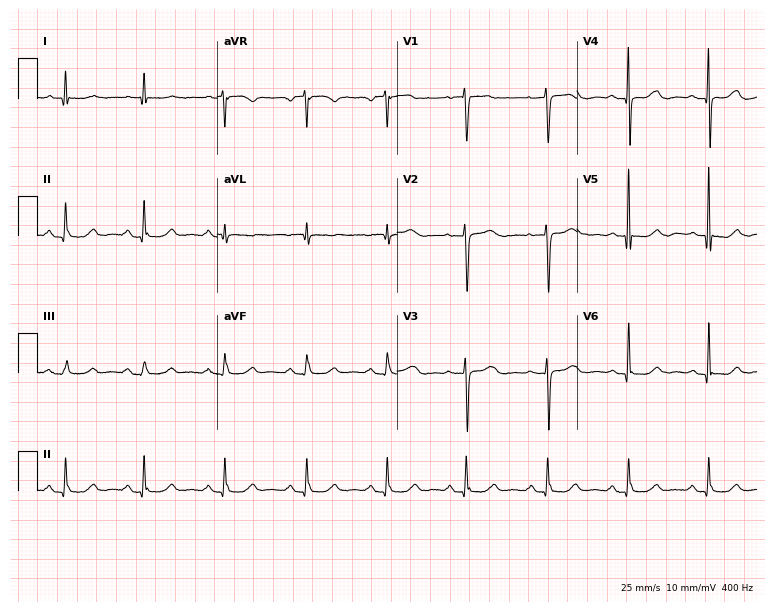
Standard 12-lead ECG recorded from a female patient, 74 years old (7.3-second recording at 400 Hz). Read as a normal ECG.